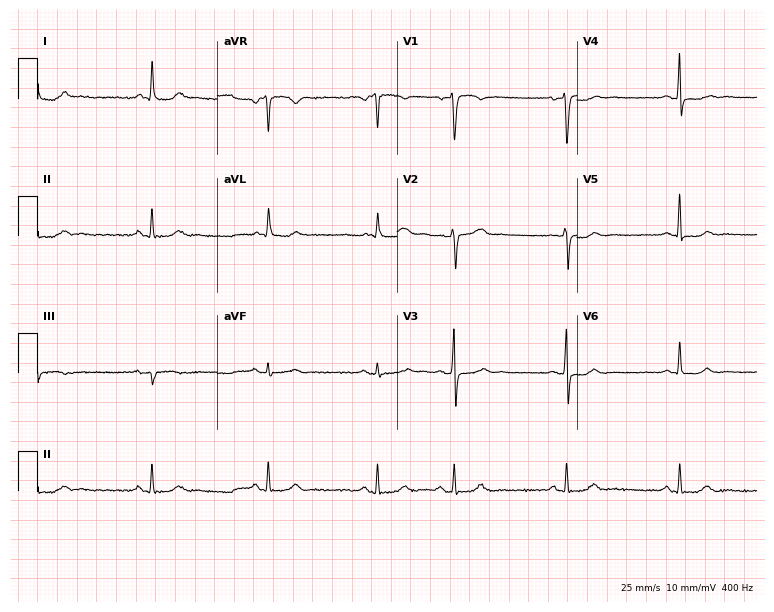
Resting 12-lead electrocardiogram. Patient: a man, 68 years old. None of these six findings is recorded: first-degree AV block, right bundle branch block, left bundle branch block, sinus bradycardia, atrial fibrillation, sinus tachycardia.